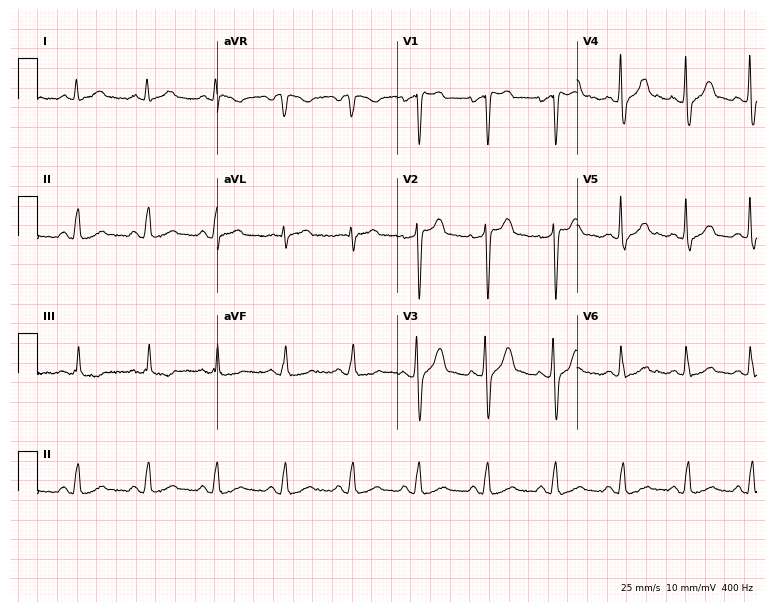
Resting 12-lead electrocardiogram. Patient: a 50-year-old male. None of these six findings is recorded: first-degree AV block, right bundle branch block, left bundle branch block, sinus bradycardia, atrial fibrillation, sinus tachycardia.